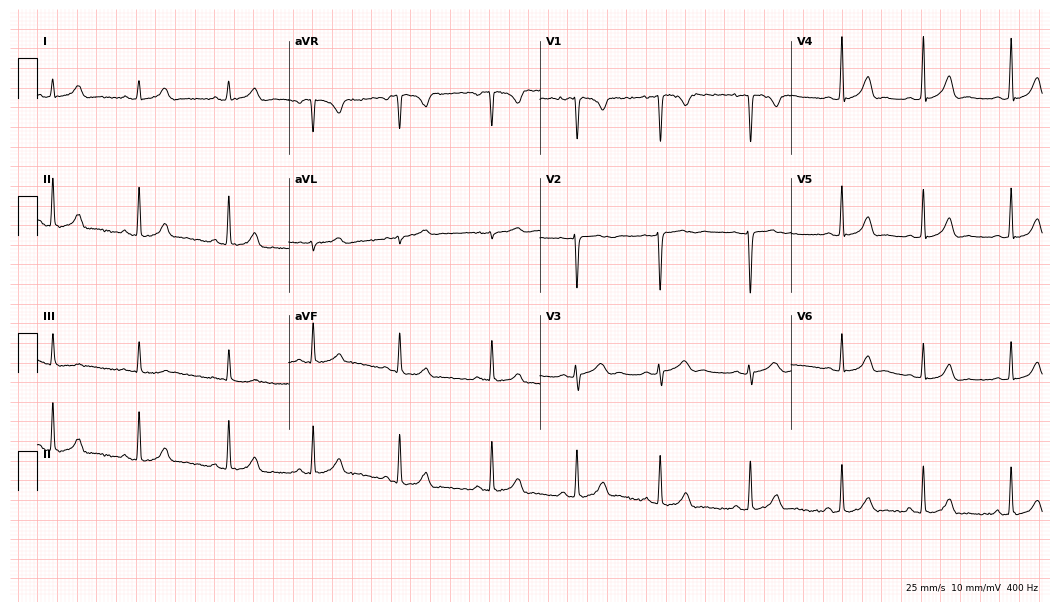
Standard 12-lead ECG recorded from a female, 17 years old. Read as a normal ECG.